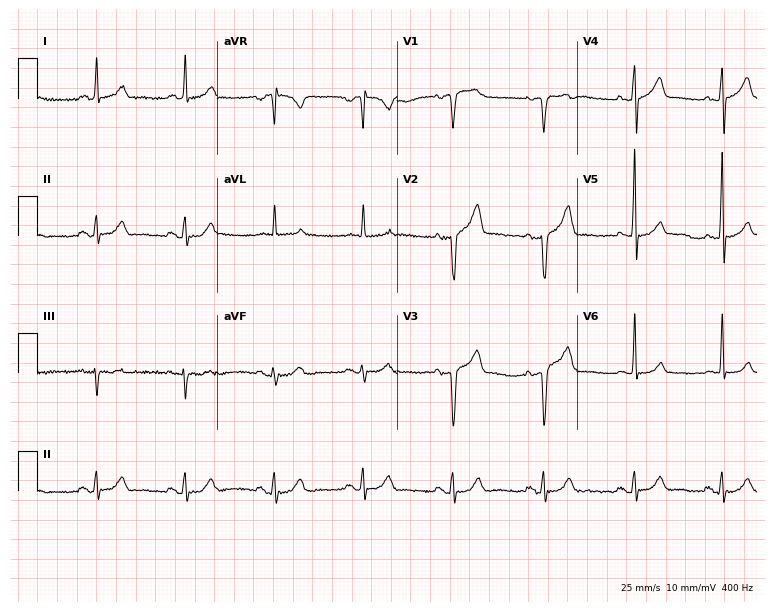
12-lead ECG (7.3-second recording at 400 Hz) from a 55-year-old male. Labelled as a normal ECG.